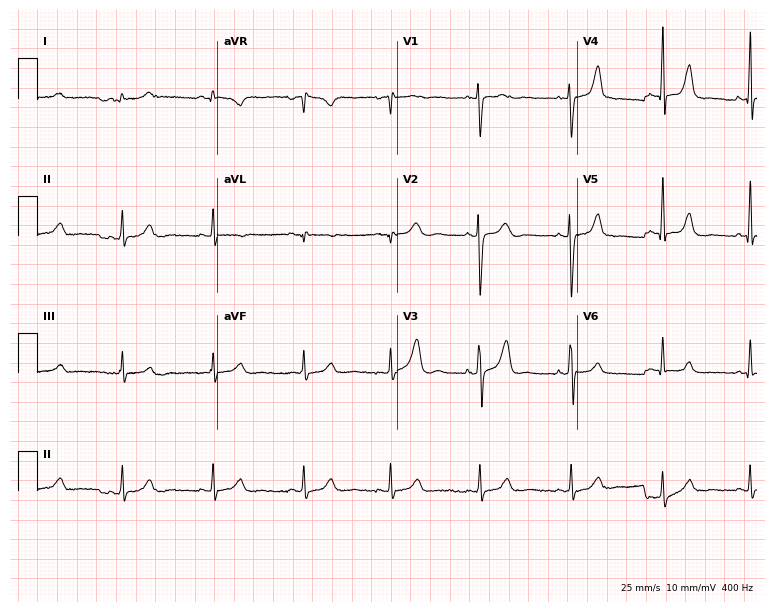
Electrocardiogram (7.3-second recording at 400 Hz), a 20-year-old male patient. Overall reading on record: normal ECG.